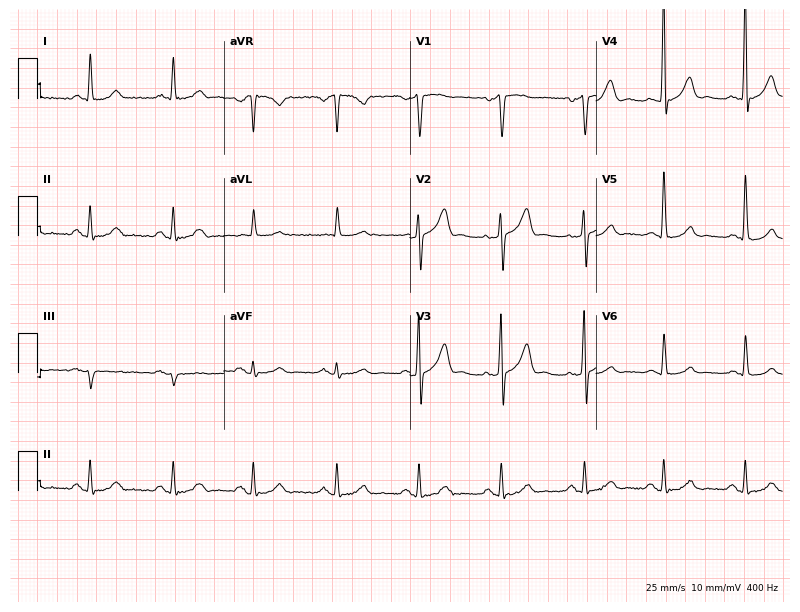
Standard 12-lead ECG recorded from a male patient, 69 years old. None of these six findings is recorded: first-degree AV block, right bundle branch block (RBBB), left bundle branch block (LBBB), sinus bradycardia, atrial fibrillation (AF), sinus tachycardia. Other findings, if any, are not listed.